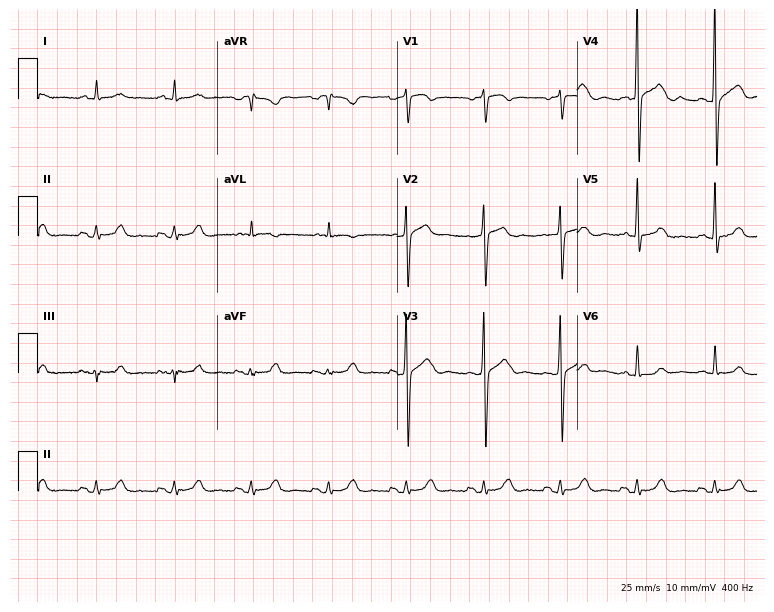
12-lead ECG (7.3-second recording at 400 Hz) from a male patient, 73 years old. Labelled as a normal ECG.